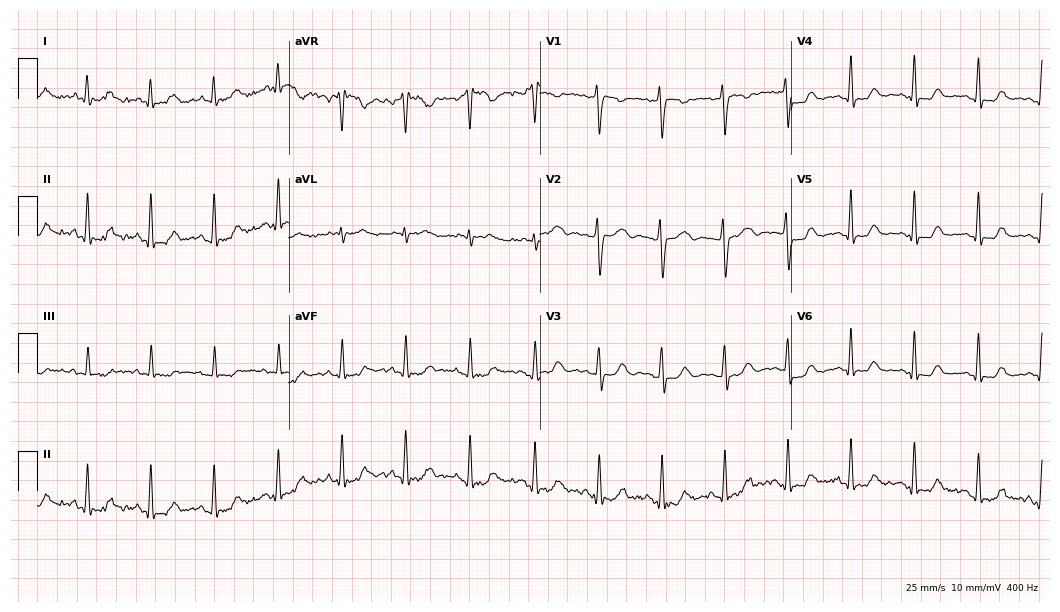
Resting 12-lead electrocardiogram (10.2-second recording at 400 Hz). Patient: a female, 63 years old. None of these six findings is recorded: first-degree AV block, right bundle branch block, left bundle branch block, sinus bradycardia, atrial fibrillation, sinus tachycardia.